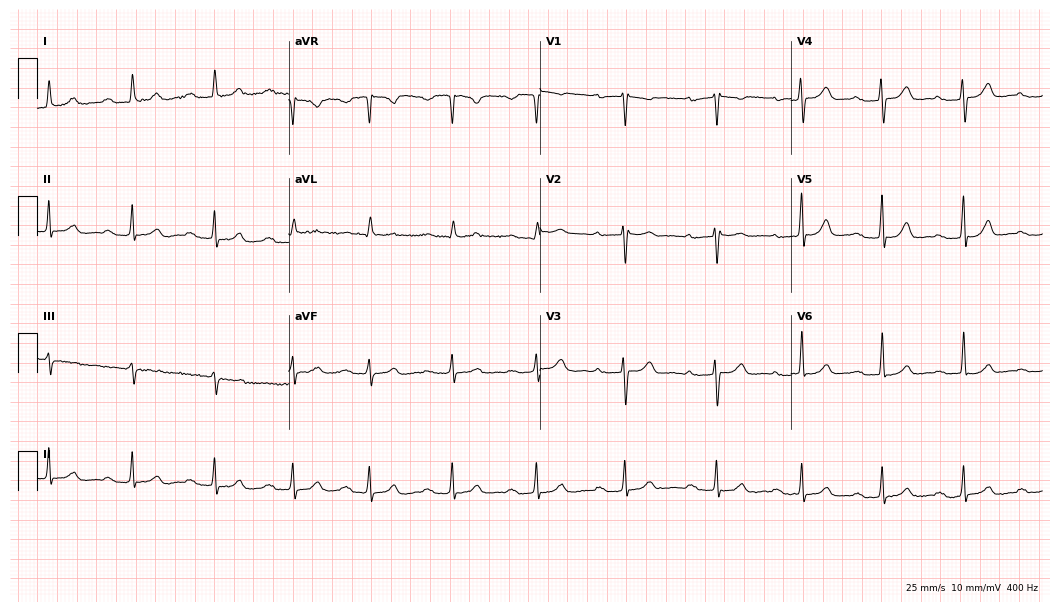
12-lead ECG from a female, 41 years old. Findings include first-degree AV block.